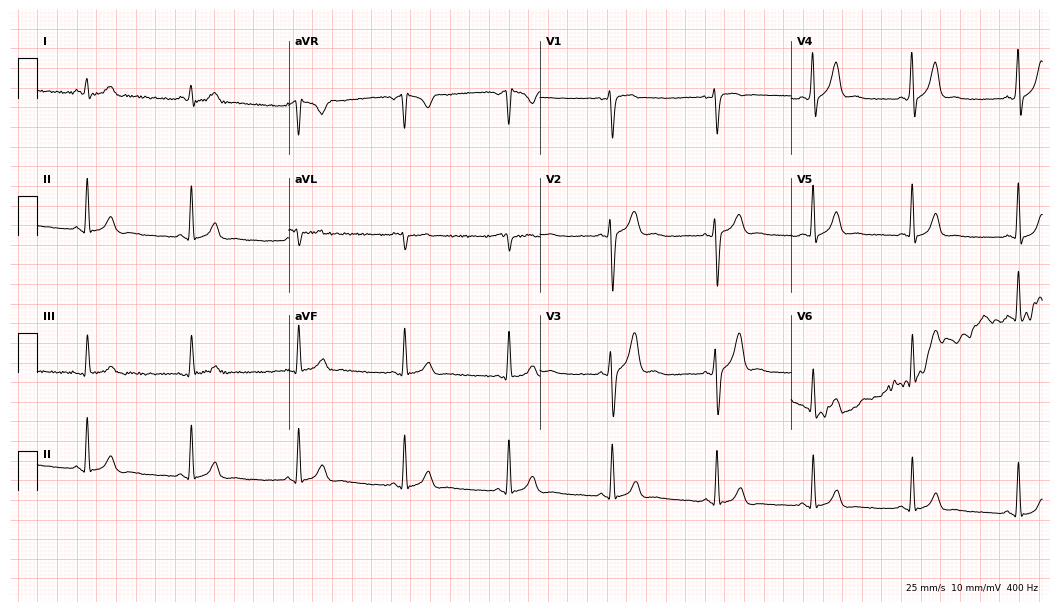
Resting 12-lead electrocardiogram (10.2-second recording at 400 Hz). Patient: a 31-year-old man. None of these six findings is recorded: first-degree AV block, right bundle branch block, left bundle branch block, sinus bradycardia, atrial fibrillation, sinus tachycardia. Only these six findings were labelled.